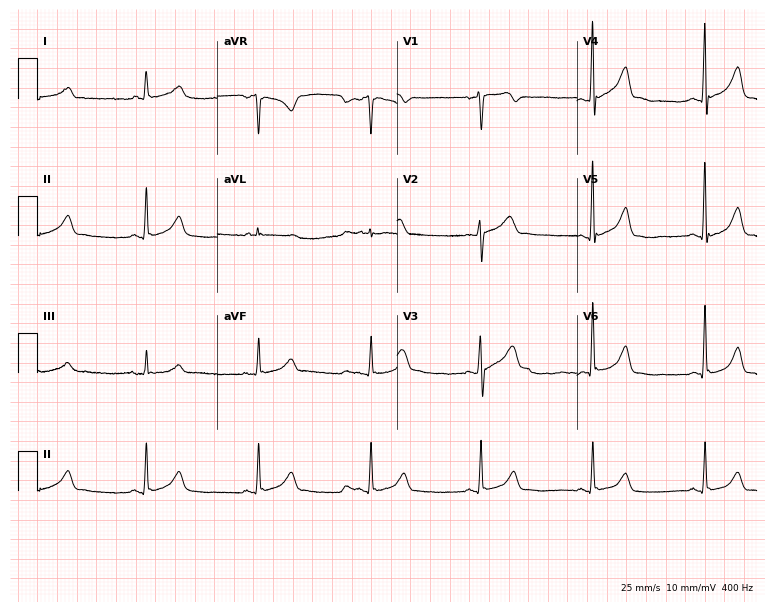
12-lead ECG from a man, 48 years old (7.3-second recording at 400 Hz). No first-degree AV block, right bundle branch block, left bundle branch block, sinus bradycardia, atrial fibrillation or sinus tachycardia recorded for this tracing. Other findings, if any, are not listed.